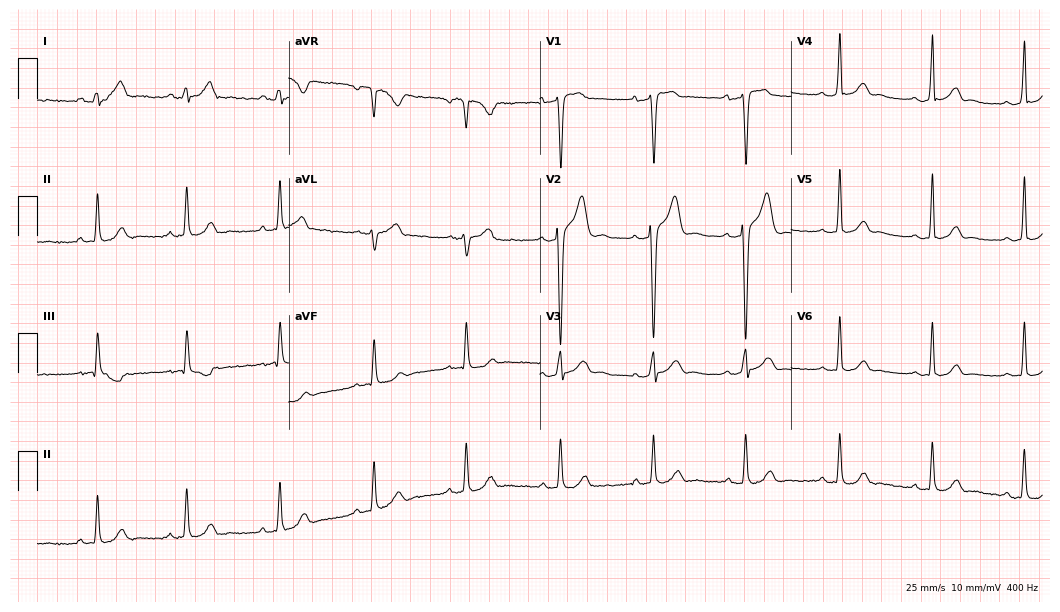
12-lead ECG from a 34-year-old male patient. Recorded interpretation: within normal limits.